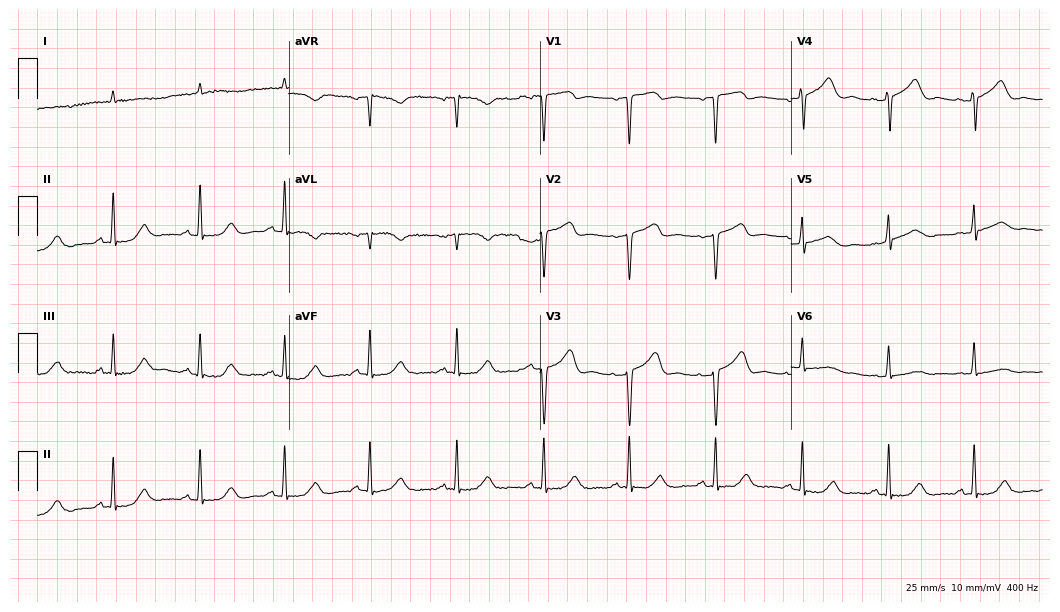
Standard 12-lead ECG recorded from a male patient, 83 years old (10.2-second recording at 400 Hz). Read as a normal ECG.